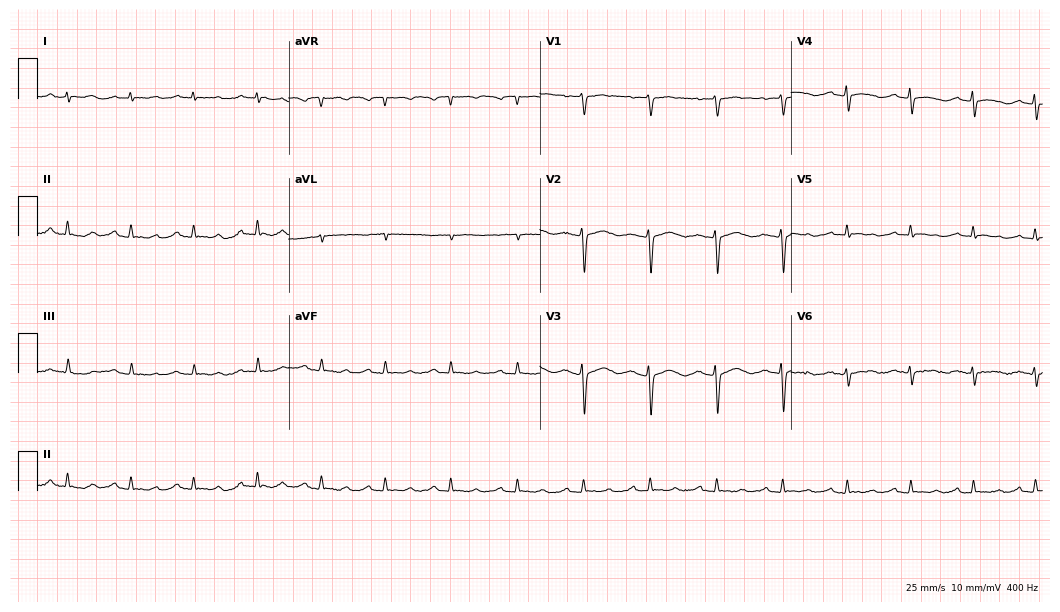
Resting 12-lead electrocardiogram. Patient: a woman, 46 years old. None of these six findings is recorded: first-degree AV block, right bundle branch block, left bundle branch block, sinus bradycardia, atrial fibrillation, sinus tachycardia. Other findings, if any, are not listed.